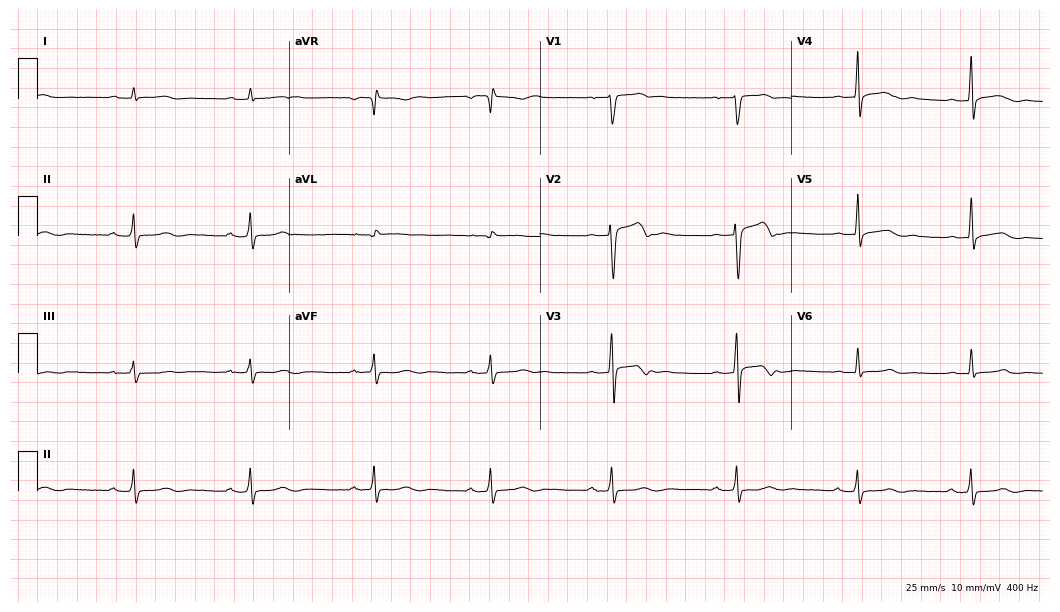
Standard 12-lead ECG recorded from a 32-year-old male (10.2-second recording at 400 Hz). None of these six findings is recorded: first-degree AV block, right bundle branch block, left bundle branch block, sinus bradycardia, atrial fibrillation, sinus tachycardia.